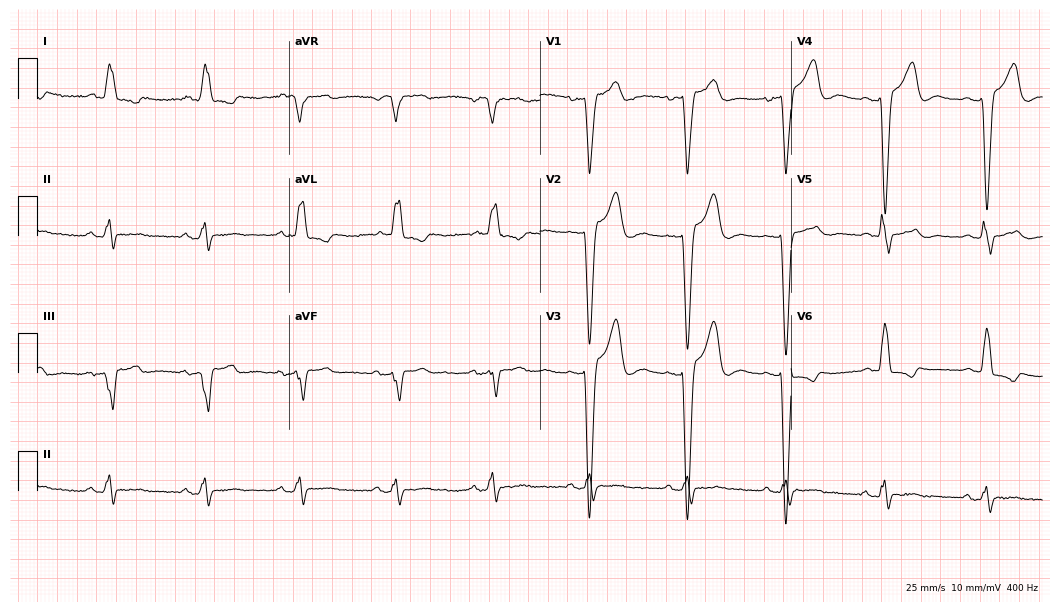
12-lead ECG from a 77-year-old woman (10.2-second recording at 400 Hz). Shows left bundle branch block (LBBB).